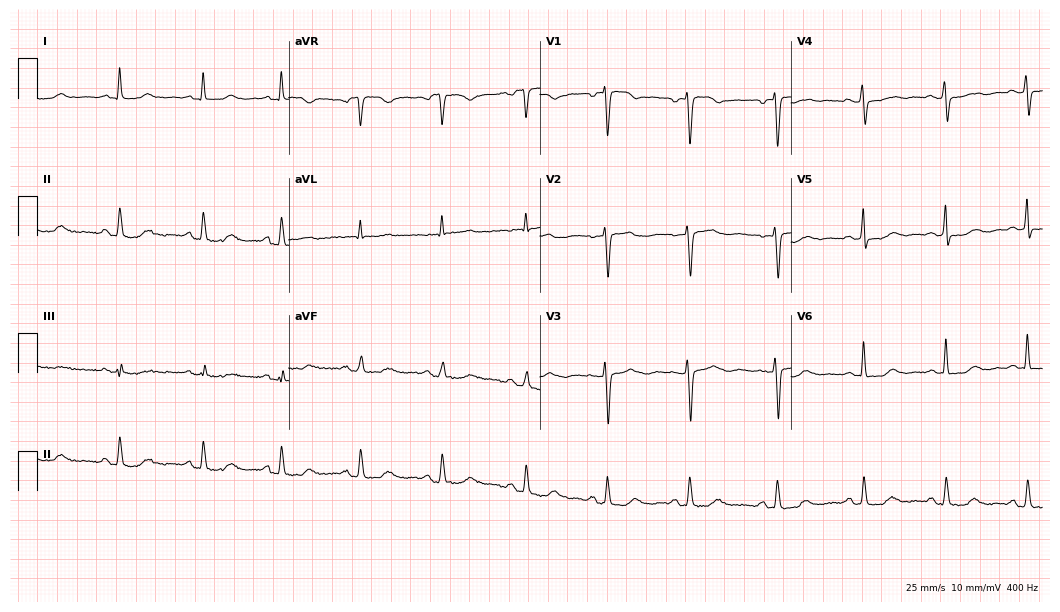
Electrocardiogram (10.2-second recording at 400 Hz), a 58-year-old woman. Of the six screened findings (first-degree AV block, right bundle branch block, left bundle branch block, sinus bradycardia, atrial fibrillation, sinus tachycardia), none is recorded.